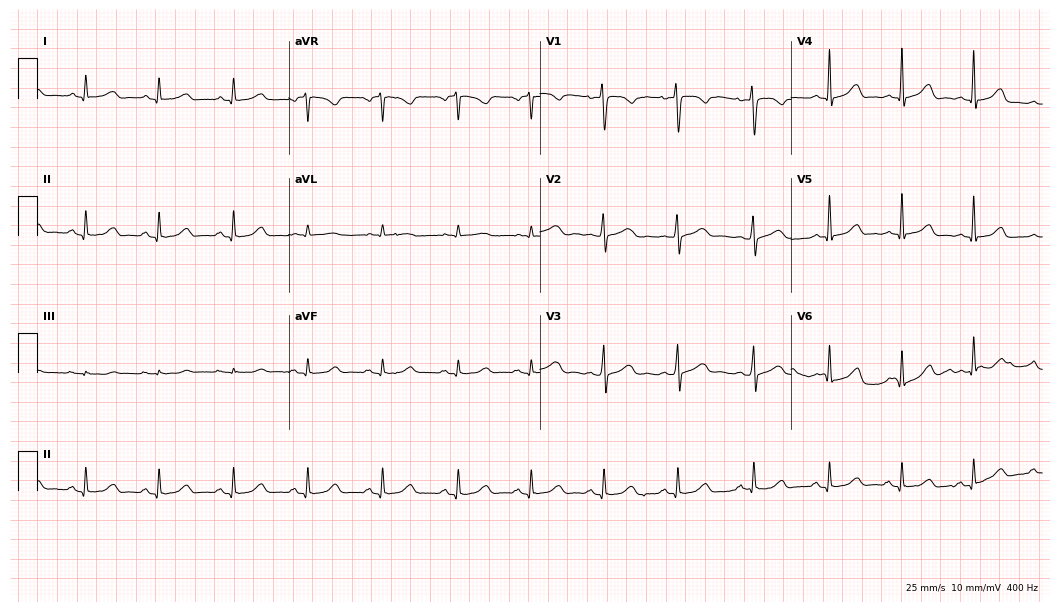
12-lead ECG (10.2-second recording at 400 Hz) from a female, 31 years old. Labelled as a normal ECG.